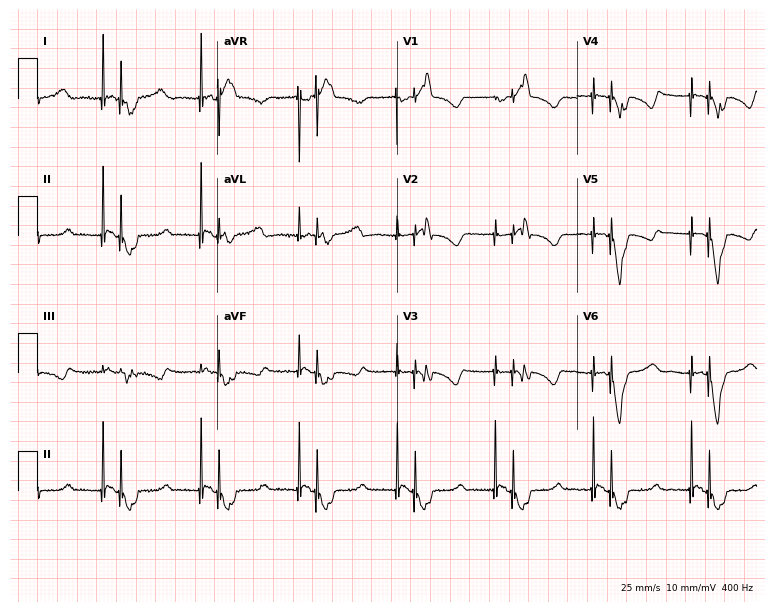
12-lead ECG from a 55-year-old woman. Screened for six findings — first-degree AV block, right bundle branch block, left bundle branch block, sinus bradycardia, atrial fibrillation, sinus tachycardia — none is recorded. Only these six findings were labelled.